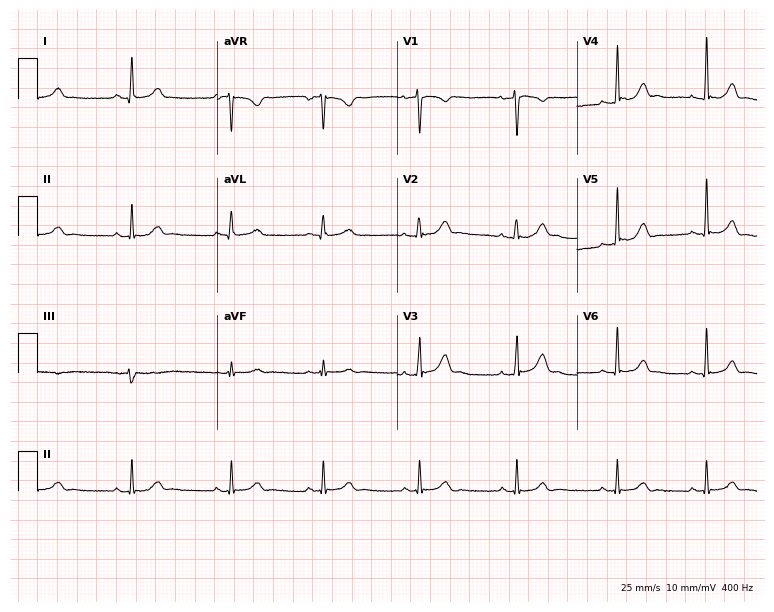
Resting 12-lead electrocardiogram. Patient: a 33-year-old woman. Read as a normal ECG.